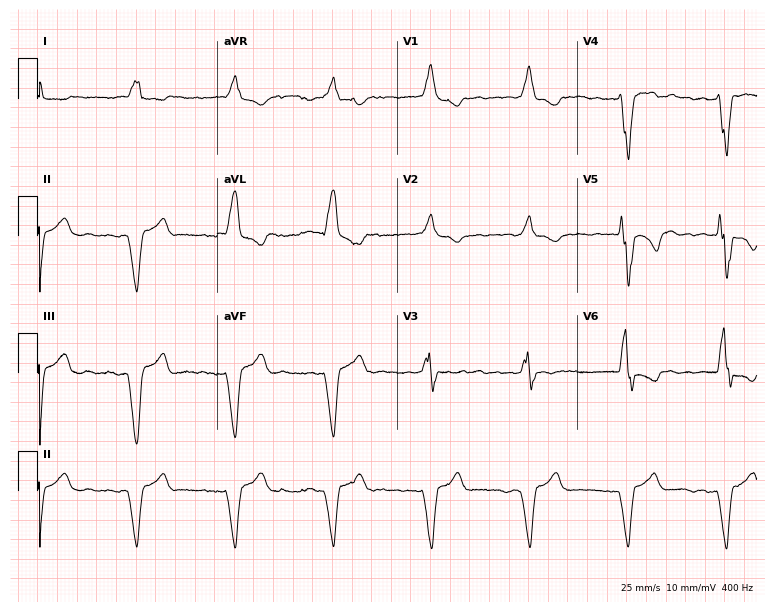
Standard 12-lead ECG recorded from a male patient, 78 years old (7.3-second recording at 400 Hz). None of these six findings is recorded: first-degree AV block, right bundle branch block, left bundle branch block, sinus bradycardia, atrial fibrillation, sinus tachycardia.